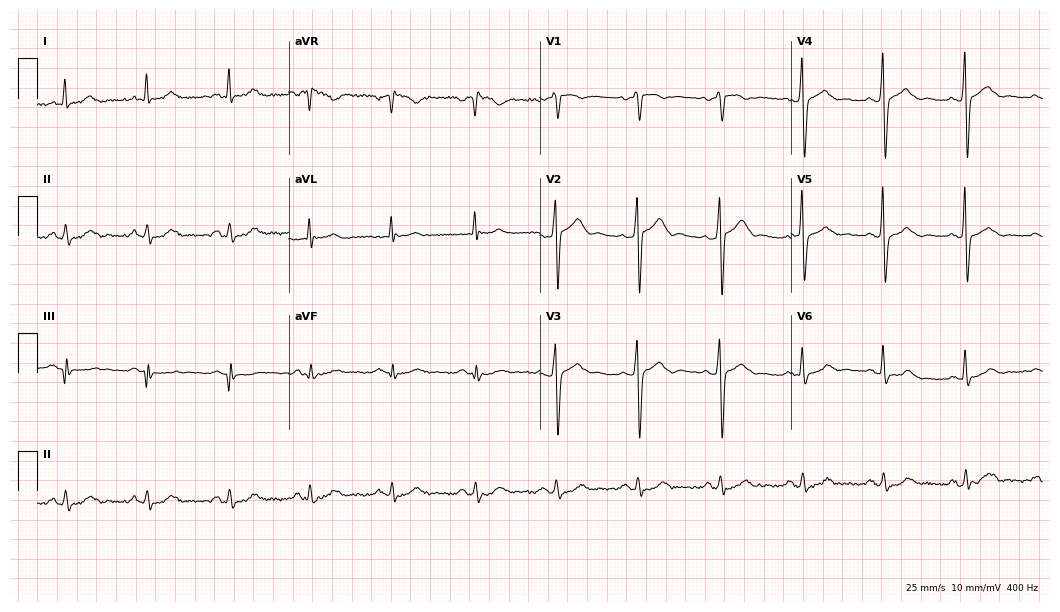
12-lead ECG (10.2-second recording at 400 Hz) from a man, 48 years old. Labelled as a normal ECG.